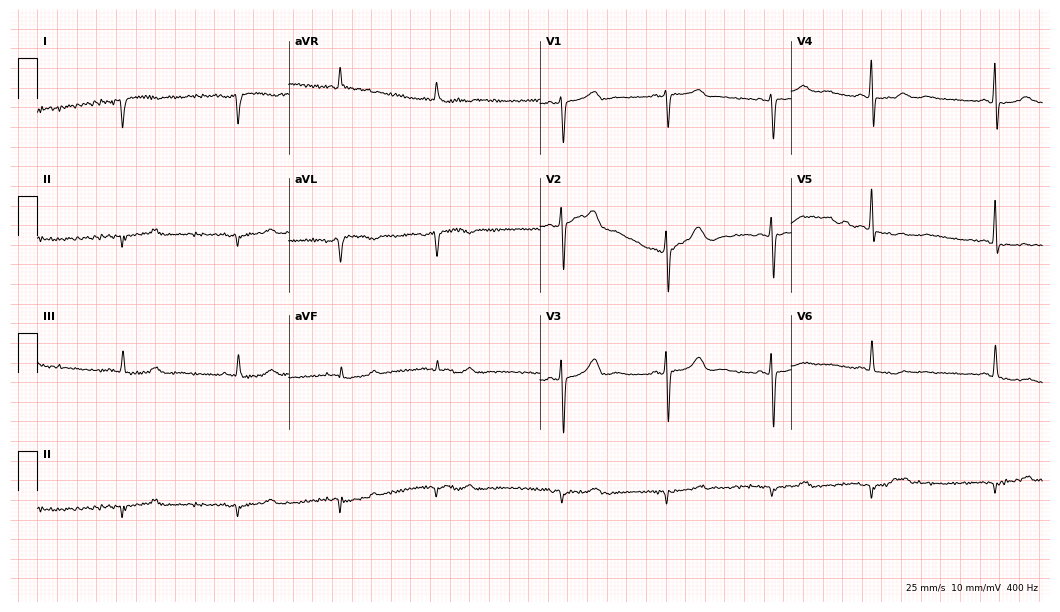
12-lead ECG from an 81-year-old female patient. No first-degree AV block, right bundle branch block (RBBB), left bundle branch block (LBBB), sinus bradycardia, atrial fibrillation (AF) or sinus tachycardia recorded for this tracing.